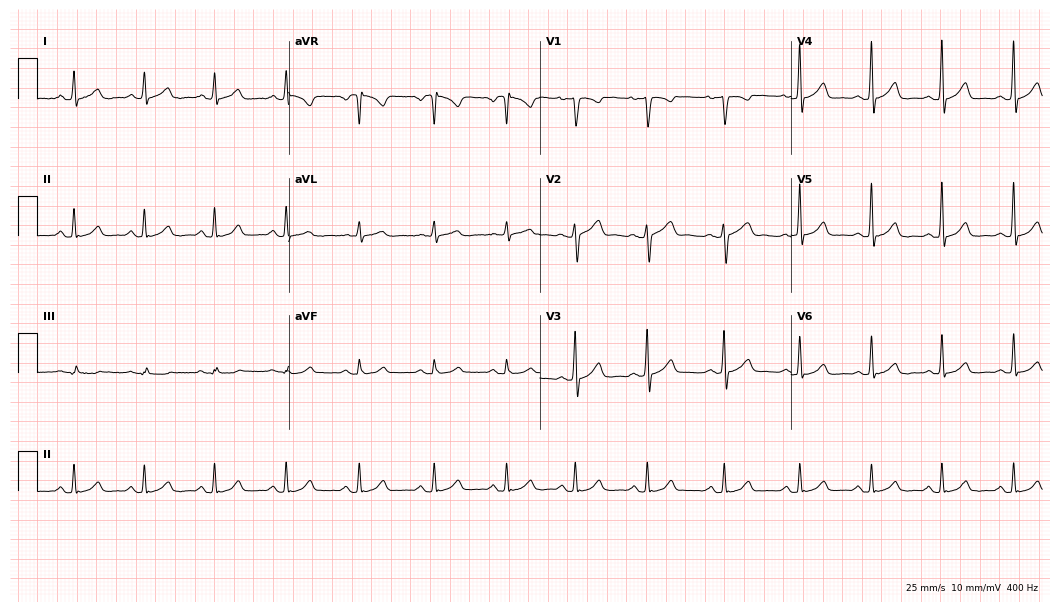
Resting 12-lead electrocardiogram (10.2-second recording at 400 Hz). Patient: a woman, 31 years old. None of these six findings is recorded: first-degree AV block, right bundle branch block, left bundle branch block, sinus bradycardia, atrial fibrillation, sinus tachycardia.